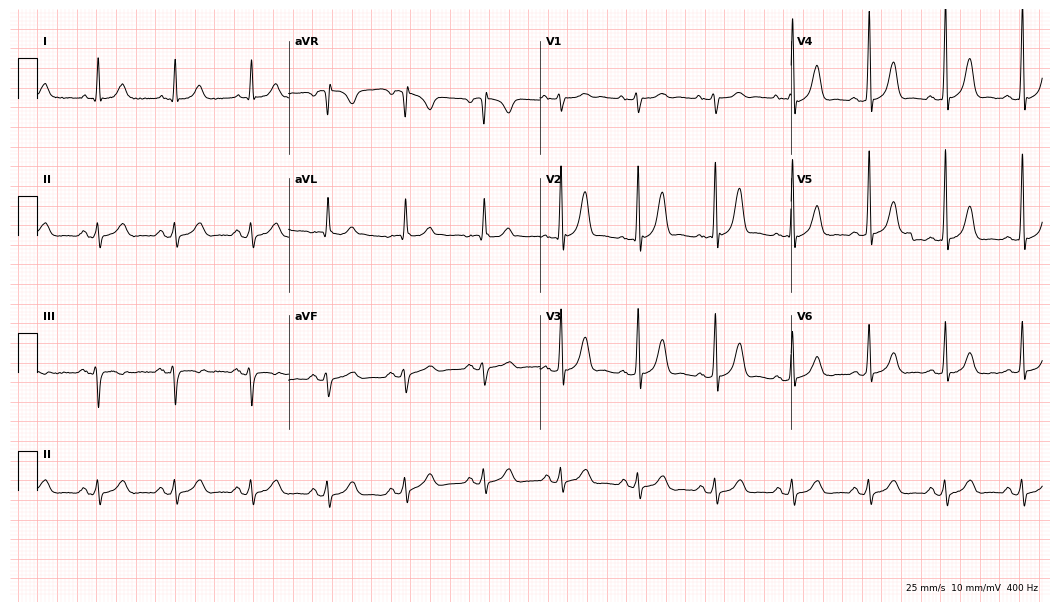
ECG — a 78-year-old man. Labelled as a normal ECG.